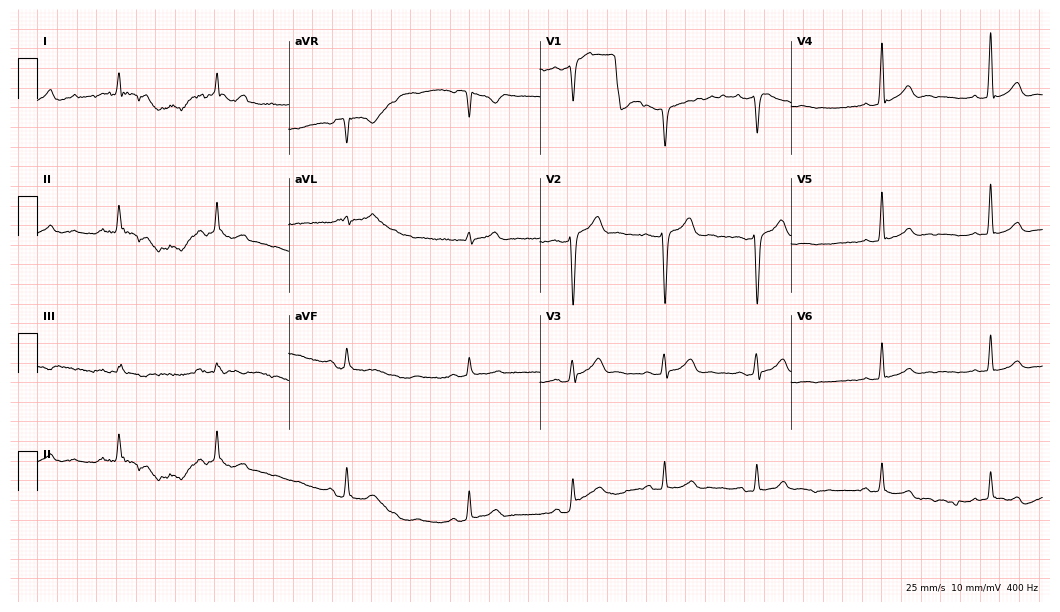
Resting 12-lead electrocardiogram. Patient: a 68-year-old man. None of these six findings is recorded: first-degree AV block, right bundle branch block, left bundle branch block, sinus bradycardia, atrial fibrillation, sinus tachycardia. Findings outside these six are not listed.